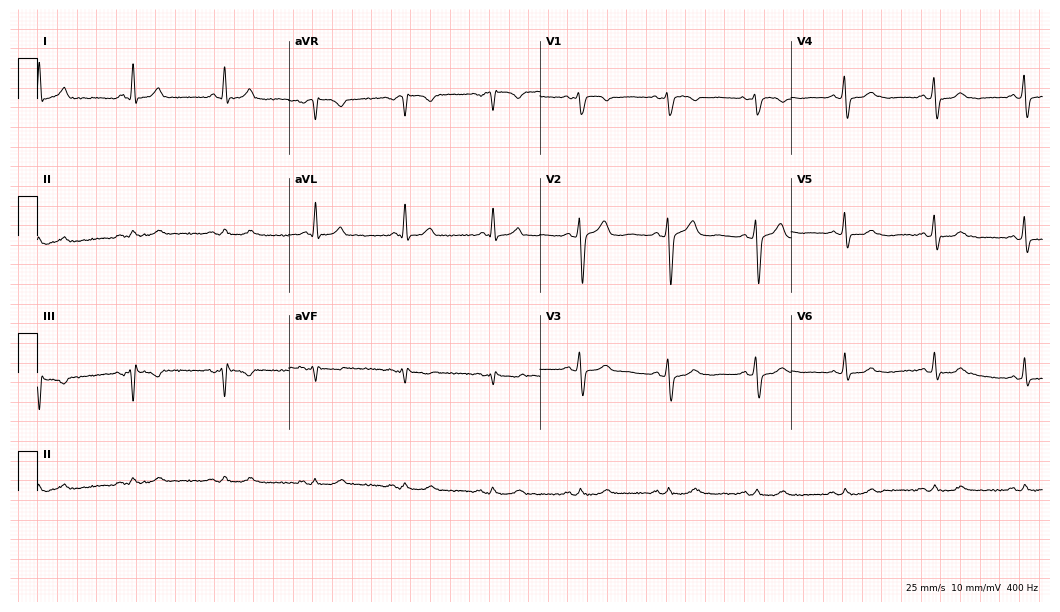
12-lead ECG from a 63-year-old male (10.2-second recording at 400 Hz). No first-degree AV block, right bundle branch block (RBBB), left bundle branch block (LBBB), sinus bradycardia, atrial fibrillation (AF) or sinus tachycardia recorded for this tracing.